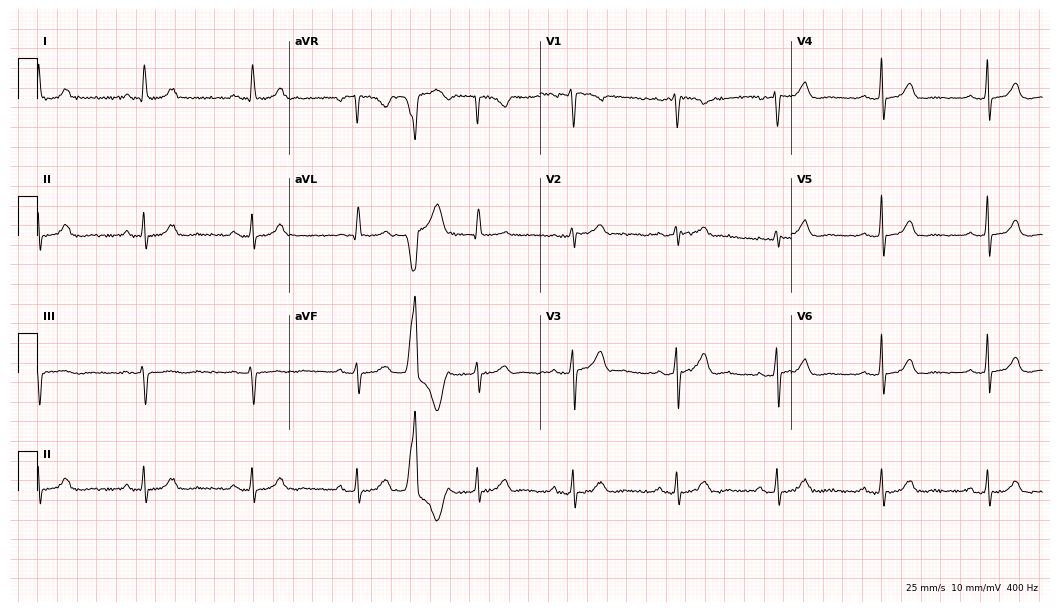
Resting 12-lead electrocardiogram (10.2-second recording at 400 Hz). Patient: a 53-year-old female. Read as a normal ECG.